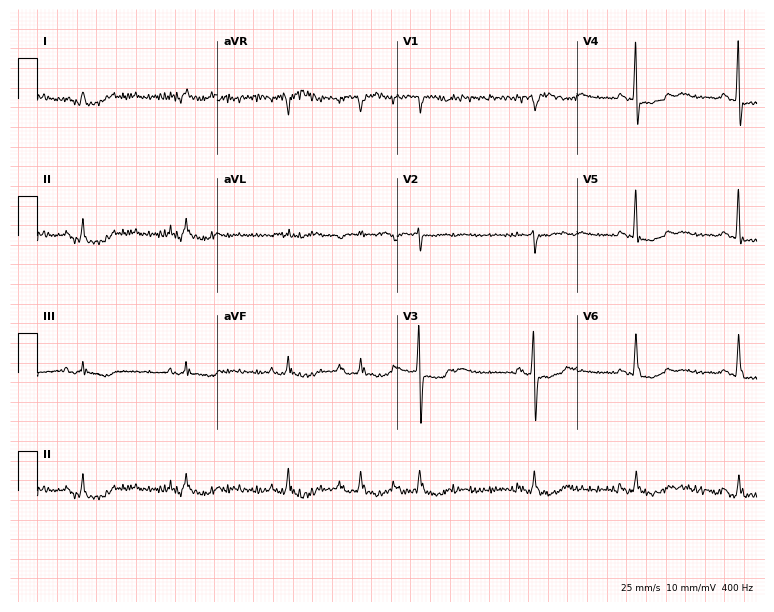
Resting 12-lead electrocardiogram. Patient: a 75-year-old woman. None of these six findings is recorded: first-degree AV block, right bundle branch block, left bundle branch block, sinus bradycardia, atrial fibrillation, sinus tachycardia.